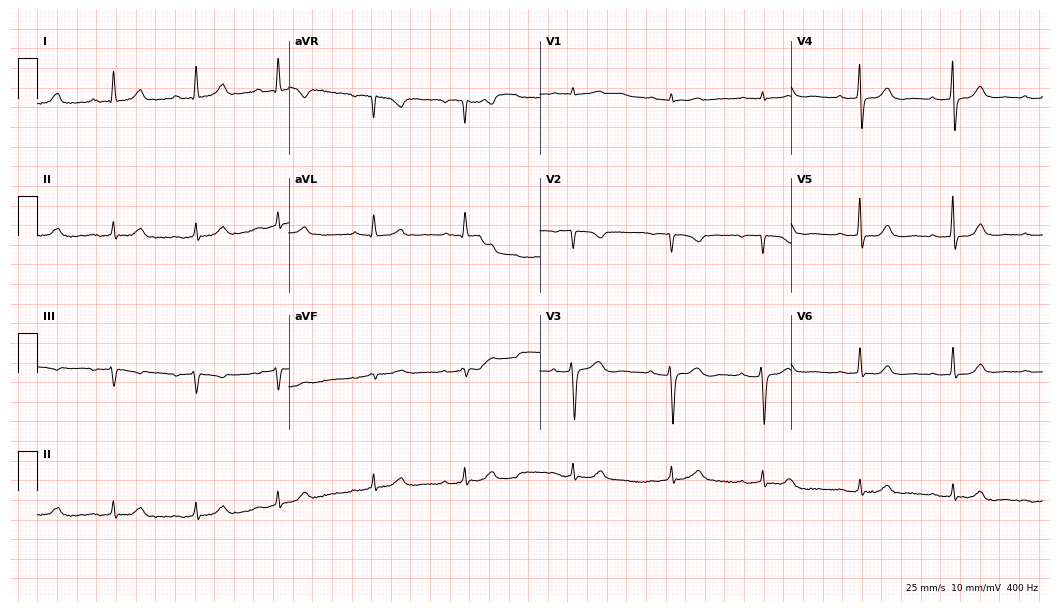
Resting 12-lead electrocardiogram. Patient: a female, 62 years old. None of these six findings is recorded: first-degree AV block, right bundle branch block, left bundle branch block, sinus bradycardia, atrial fibrillation, sinus tachycardia.